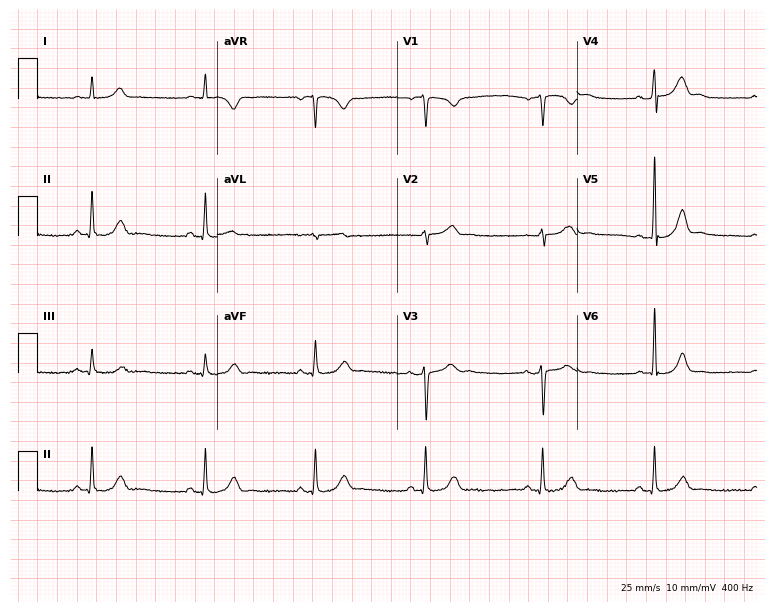
Electrocardiogram (7.3-second recording at 400 Hz), a male patient, 43 years old. Overall reading on record: normal ECG.